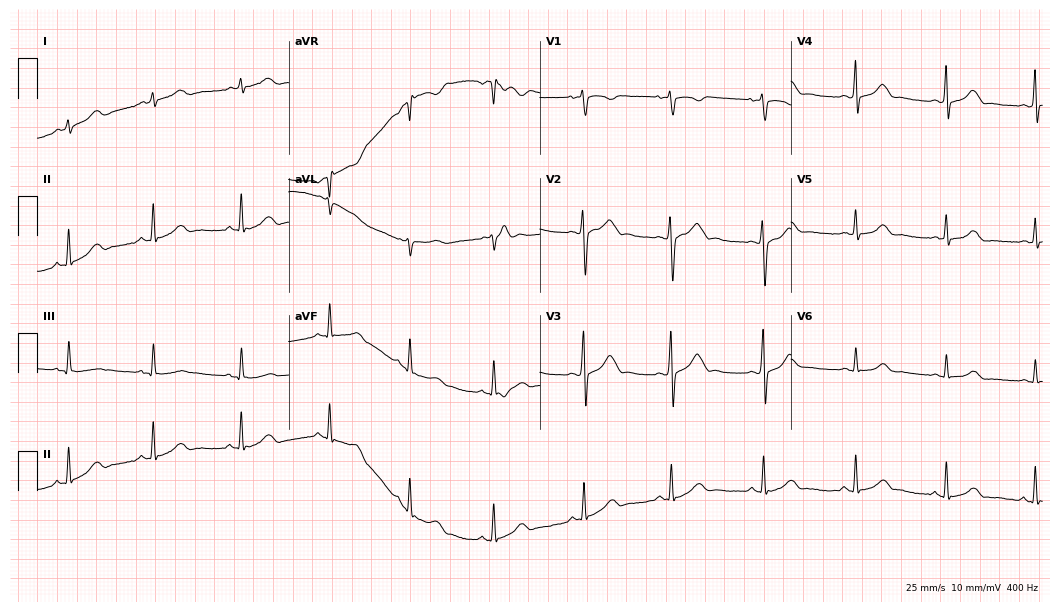
12-lead ECG (10.2-second recording at 400 Hz) from an 18-year-old woman. Labelled as a normal ECG.